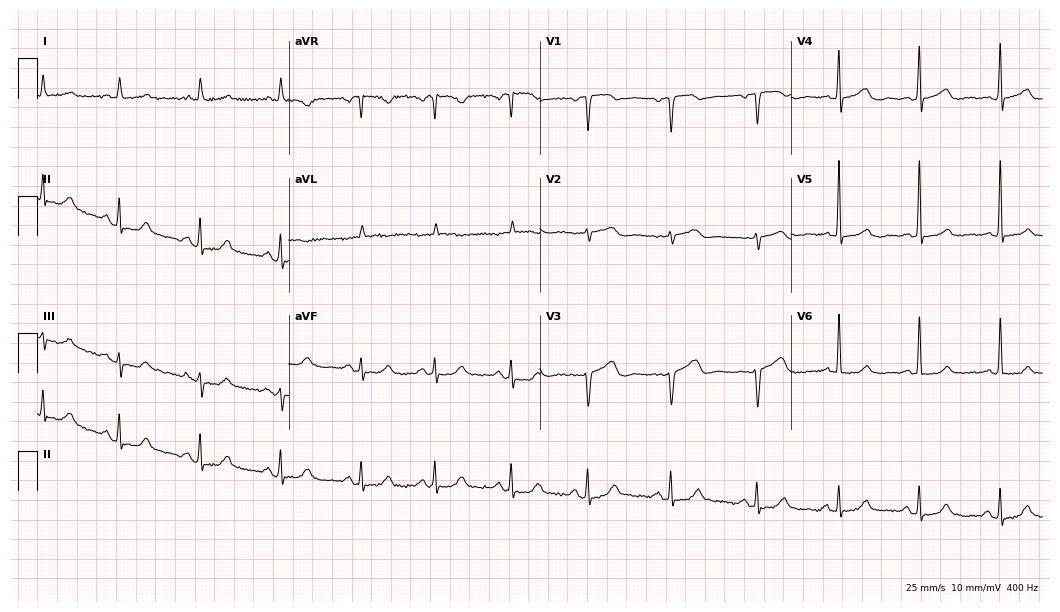
Resting 12-lead electrocardiogram. Patient: a female, 57 years old. Read as a normal ECG.